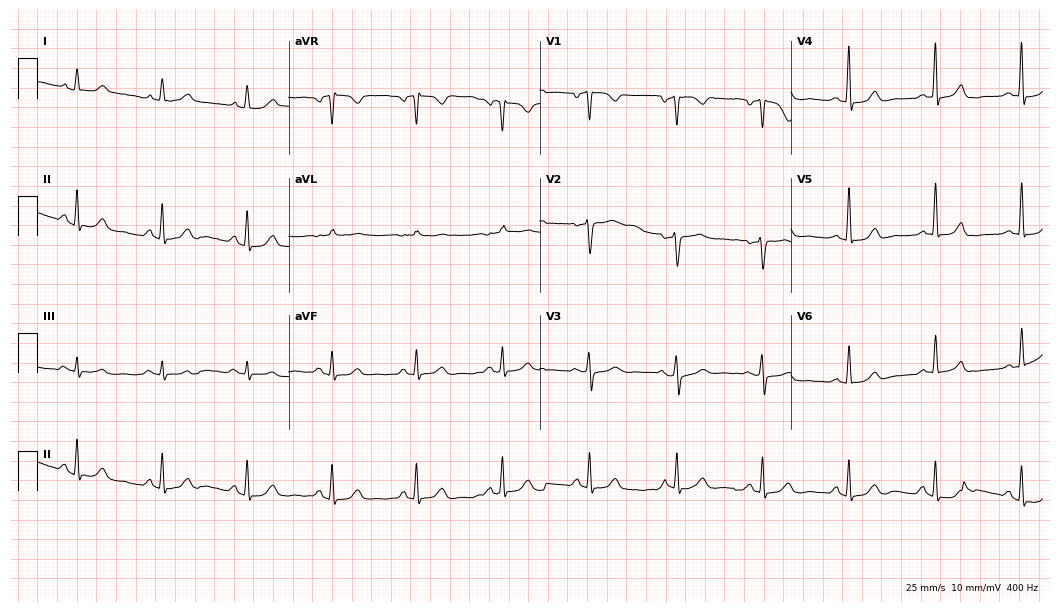
Standard 12-lead ECG recorded from a female, 48 years old. Read as a normal ECG.